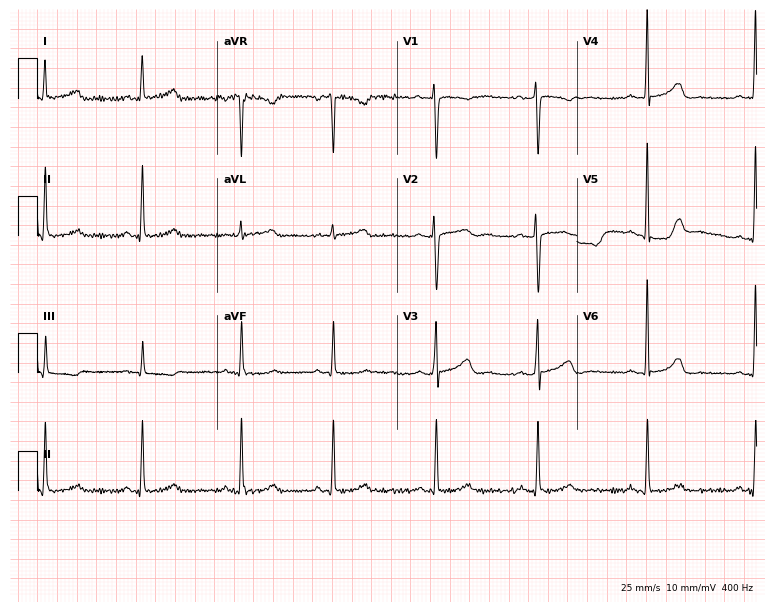
Electrocardiogram (7.3-second recording at 400 Hz), a 32-year-old female. Of the six screened findings (first-degree AV block, right bundle branch block (RBBB), left bundle branch block (LBBB), sinus bradycardia, atrial fibrillation (AF), sinus tachycardia), none is recorded.